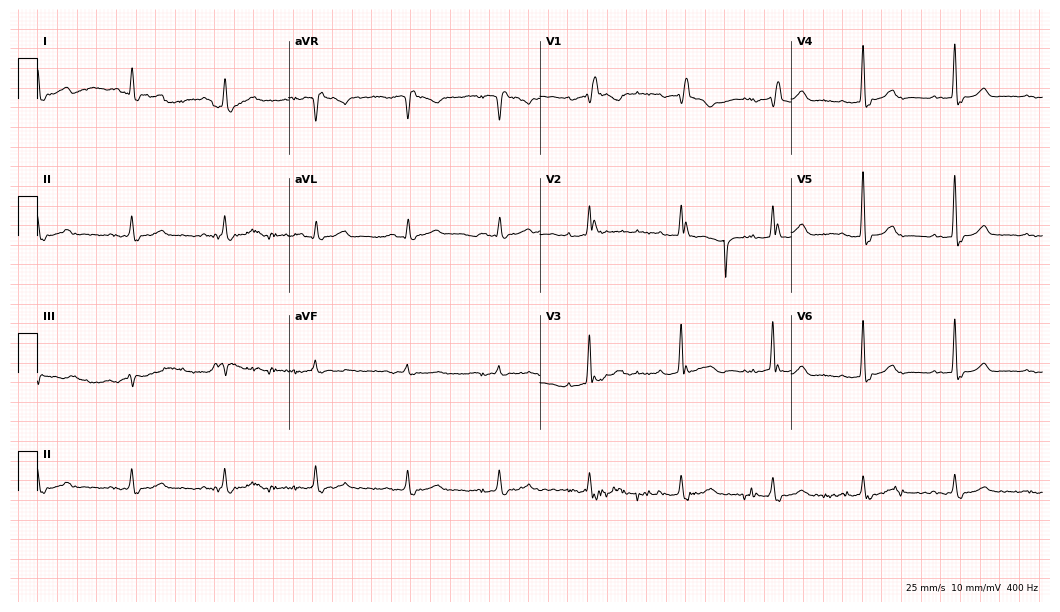
Resting 12-lead electrocardiogram (10.2-second recording at 400 Hz). Patient: a 79-year-old man. The tracing shows right bundle branch block.